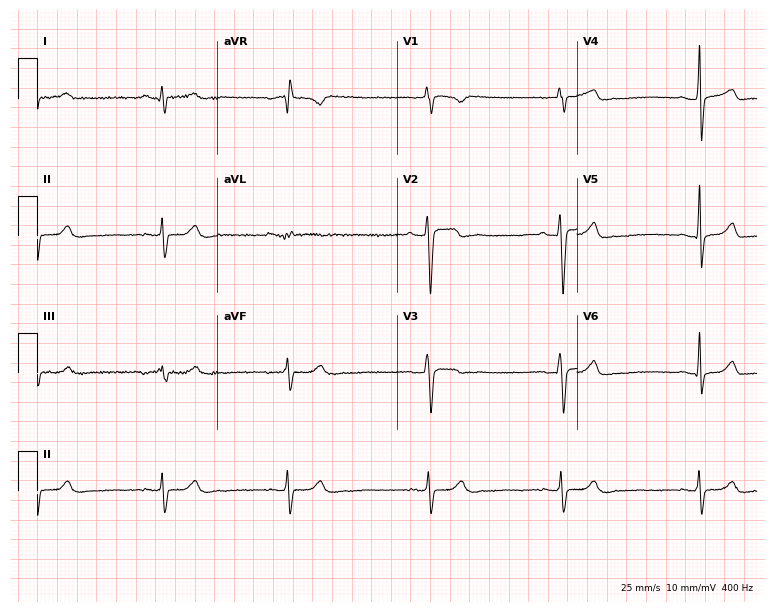
12-lead ECG from a 25-year-old man. Findings include sinus bradycardia (a sinus rate of 50 beats per minute or less).